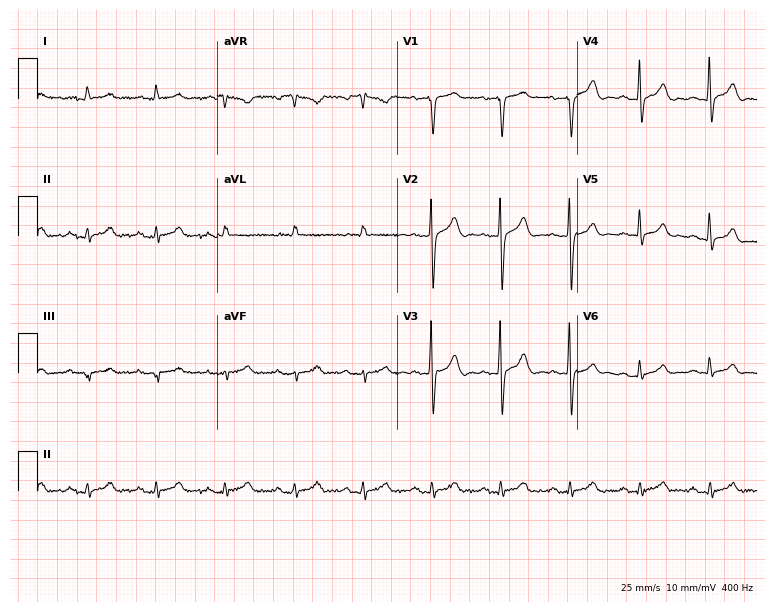
ECG — a man, 82 years old. Labelled as a normal ECG.